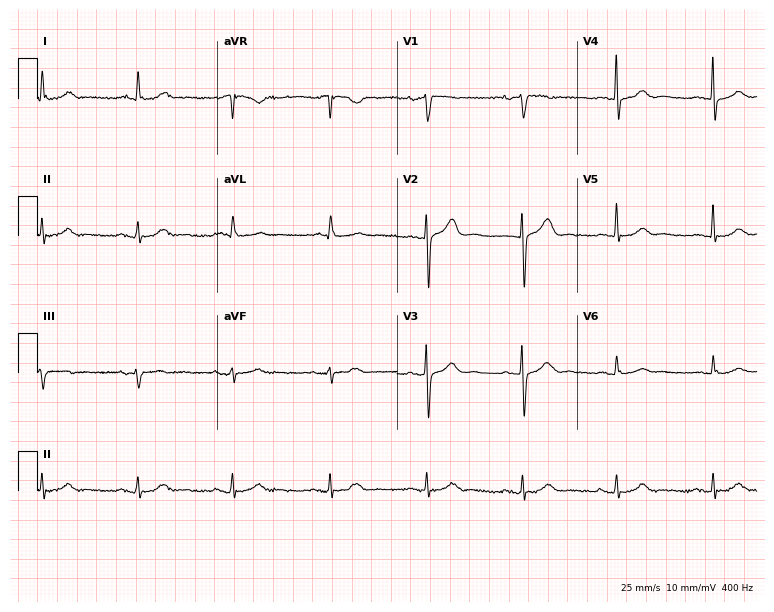
Electrocardiogram (7.3-second recording at 400 Hz), an 80-year-old woman. Overall reading on record: normal ECG.